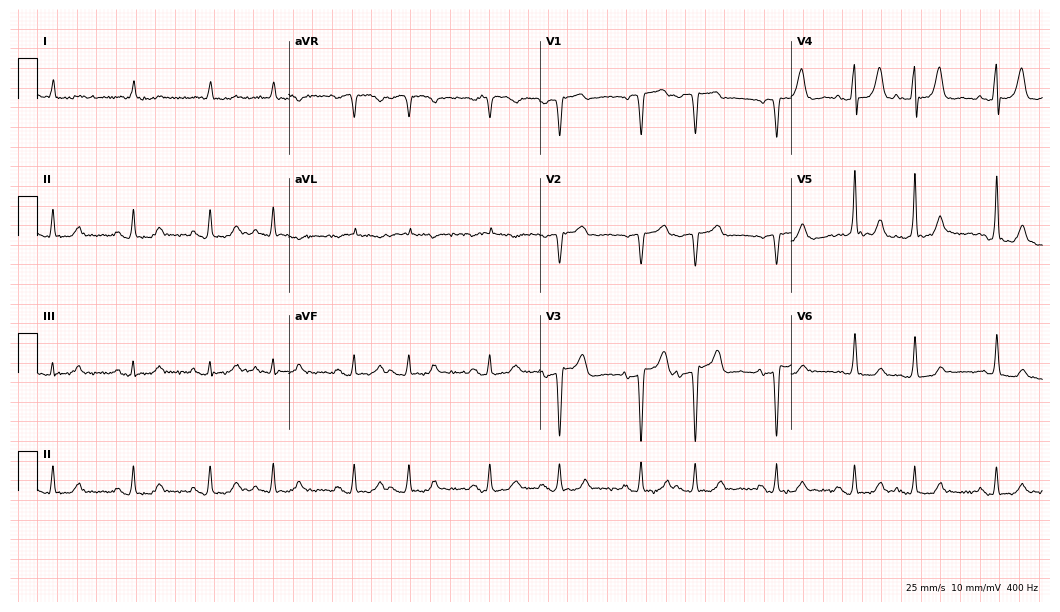
12-lead ECG from an 82-year-old female patient. Screened for six findings — first-degree AV block, right bundle branch block, left bundle branch block, sinus bradycardia, atrial fibrillation, sinus tachycardia — none is recorded.